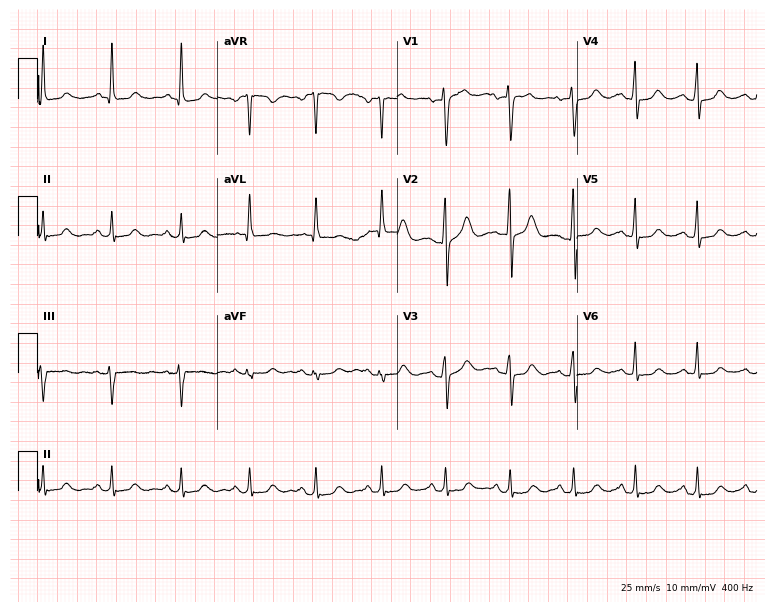
Resting 12-lead electrocardiogram (7.3-second recording at 400 Hz). Patient: a 56-year-old female. None of these six findings is recorded: first-degree AV block, right bundle branch block, left bundle branch block, sinus bradycardia, atrial fibrillation, sinus tachycardia.